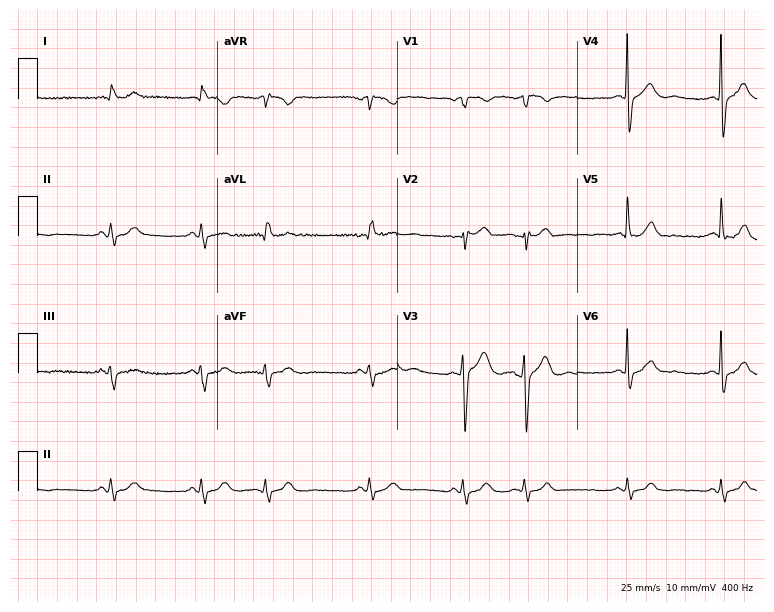
Resting 12-lead electrocardiogram. Patient: a 67-year-old male. None of these six findings is recorded: first-degree AV block, right bundle branch block, left bundle branch block, sinus bradycardia, atrial fibrillation, sinus tachycardia. Other findings, if any, are not listed.